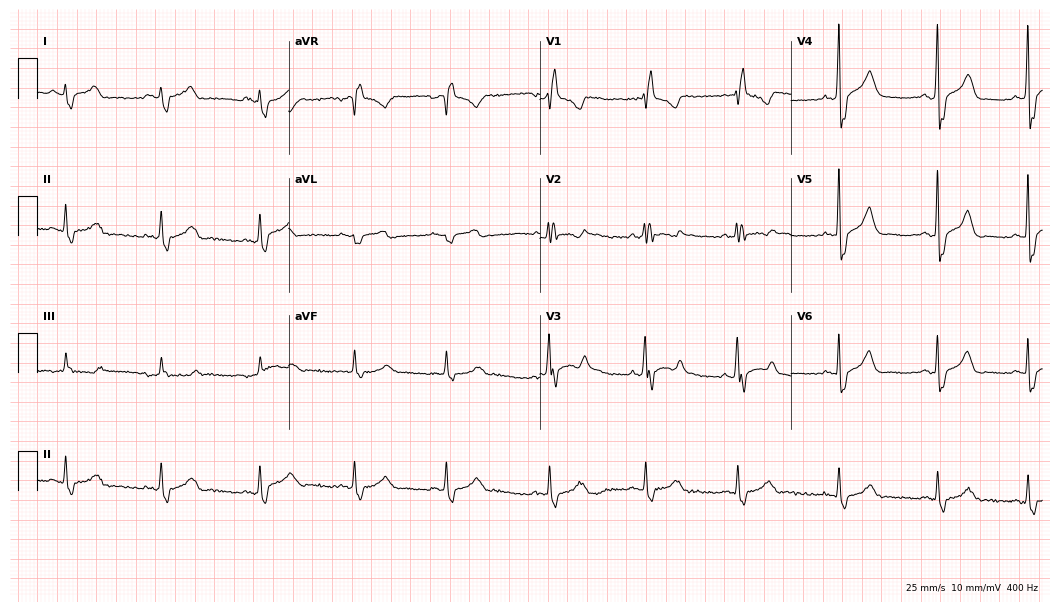
ECG (10.2-second recording at 400 Hz) — a man, 36 years old. Screened for six findings — first-degree AV block, right bundle branch block, left bundle branch block, sinus bradycardia, atrial fibrillation, sinus tachycardia — none is recorded.